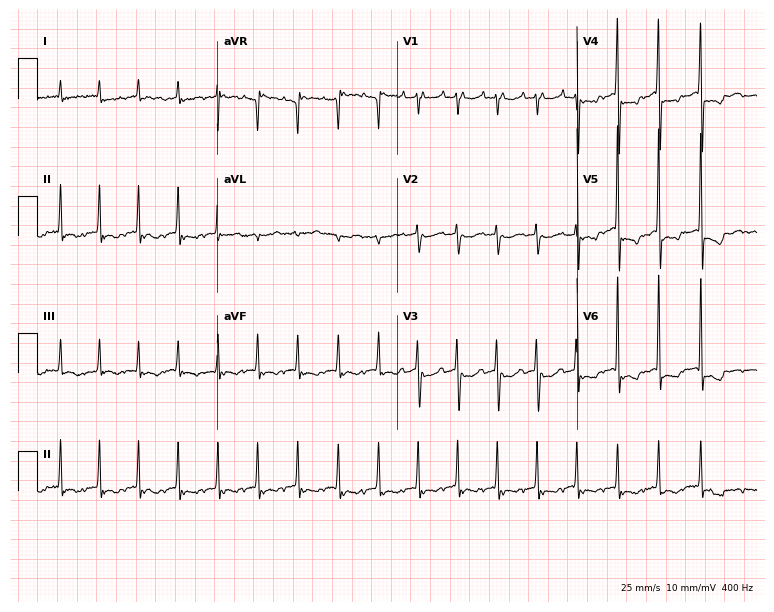
12-lead ECG from a 70-year-old female. No first-degree AV block, right bundle branch block (RBBB), left bundle branch block (LBBB), sinus bradycardia, atrial fibrillation (AF) or sinus tachycardia recorded for this tracing.